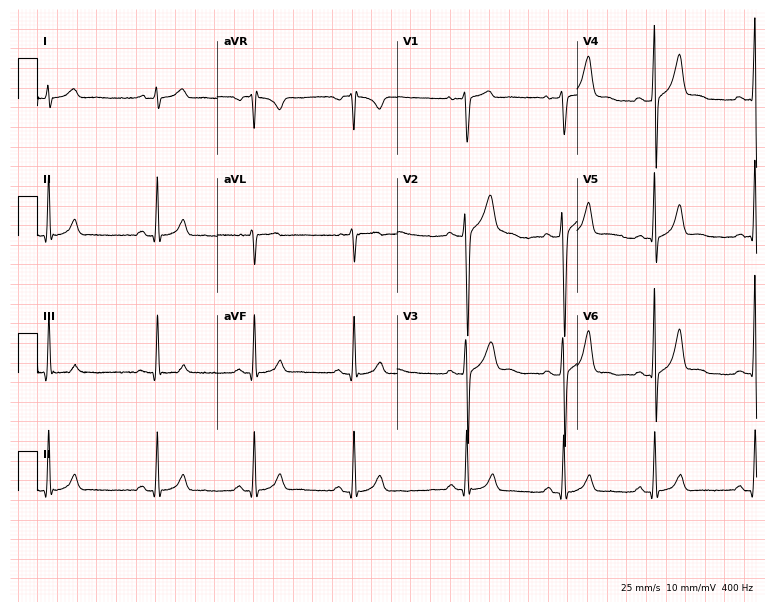
ECG (7.3-second recording at 400 Hz) — a 21-year-old male. Labelled as a normal ECG.